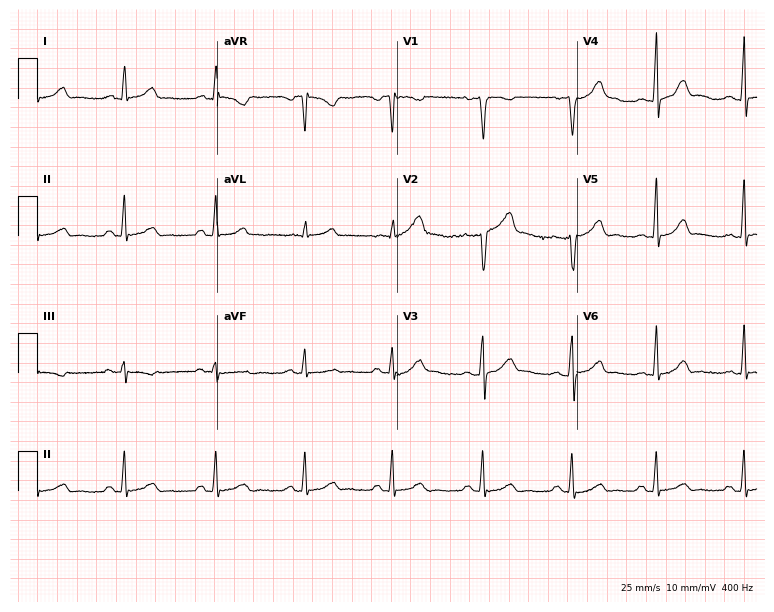
12-lead ECG (7.3-second recording at 400 Hz) from a 27-year-old woman. Labelled as a normal ECG.